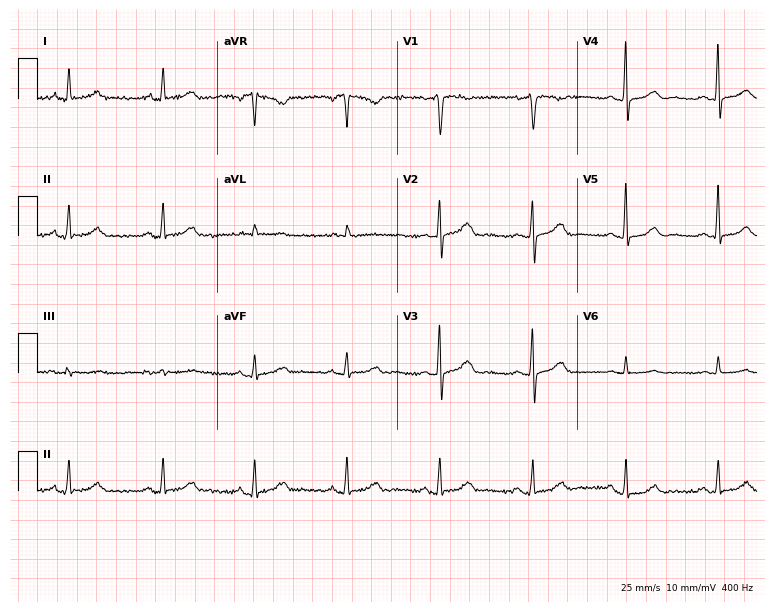
ECG — a female patient, 65 years old. Labelled as a normal ECG.